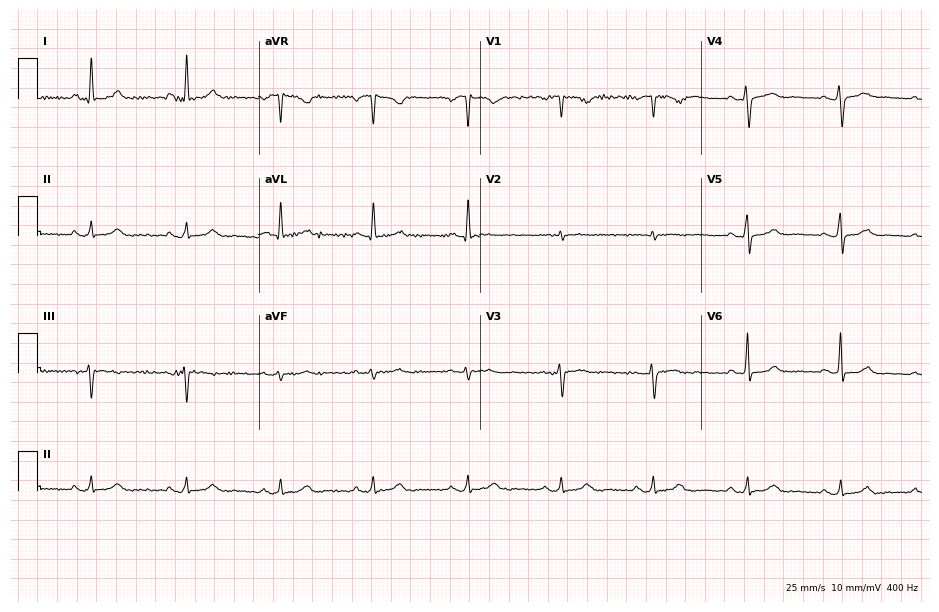
12-lead ECG from a 49-year-old woman. Recorded interpretation: within normal limits.